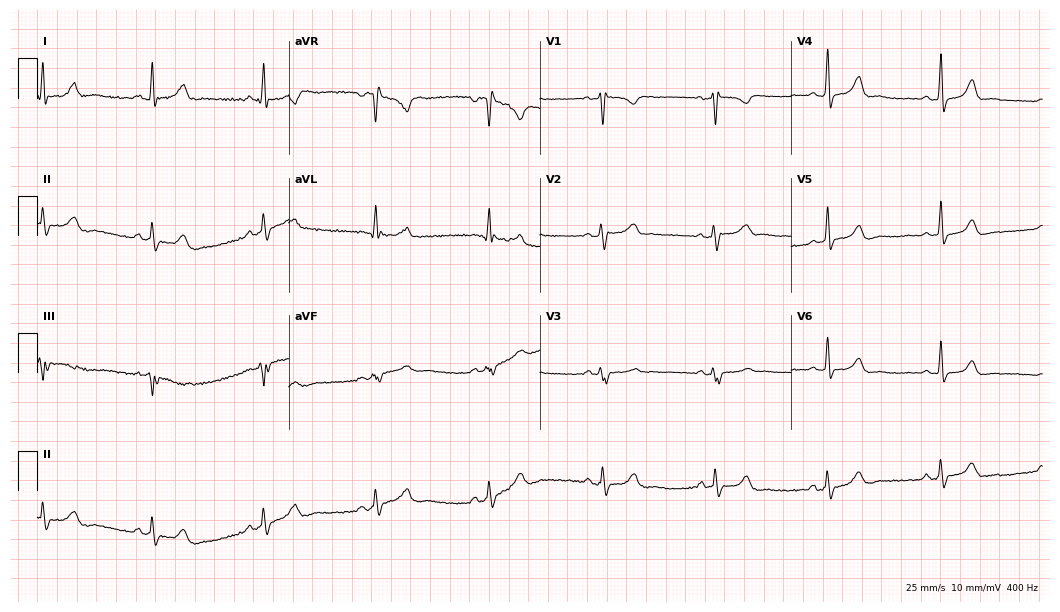
12-lead ECG from a 41-year-old female patient. No first-degree AV block, right bundle branch block (RBBB), left bundle branch block (LBBB), sinus bradycardia, atrial fibrillation (AF) or sinus tachycardia recorded for this tracing.